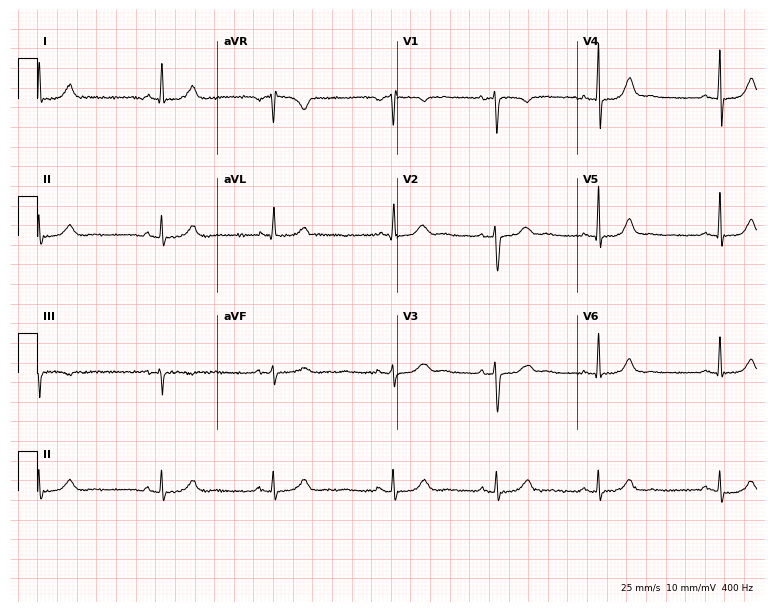
12-lead ECG from a 41-year-old female patient (7.3-second recording at 400 Hz). No first-degree AV block, right bundle branch block, left bundle branch block, sinus bradycardia, atrial fibrillation or sinus tachycardia recorded for this tracing.